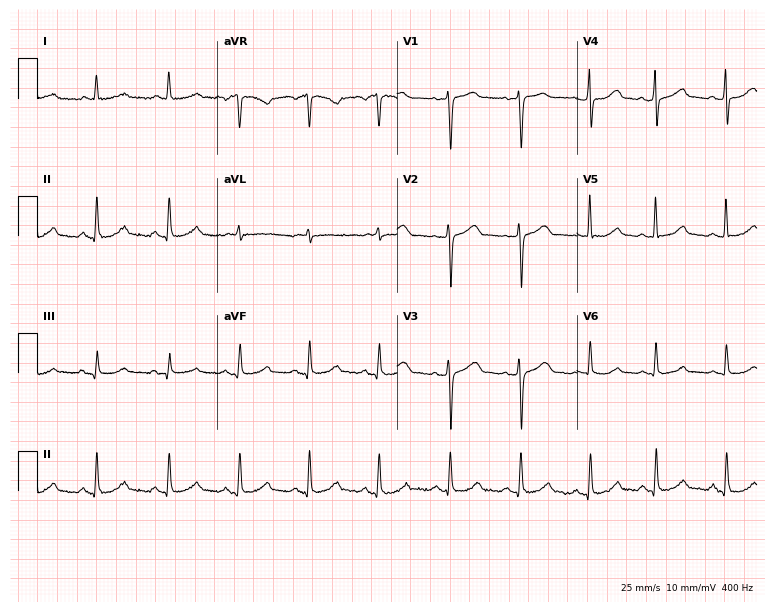
12-lead ECG from a 60-year-old female. Labelled as a normal ECG.